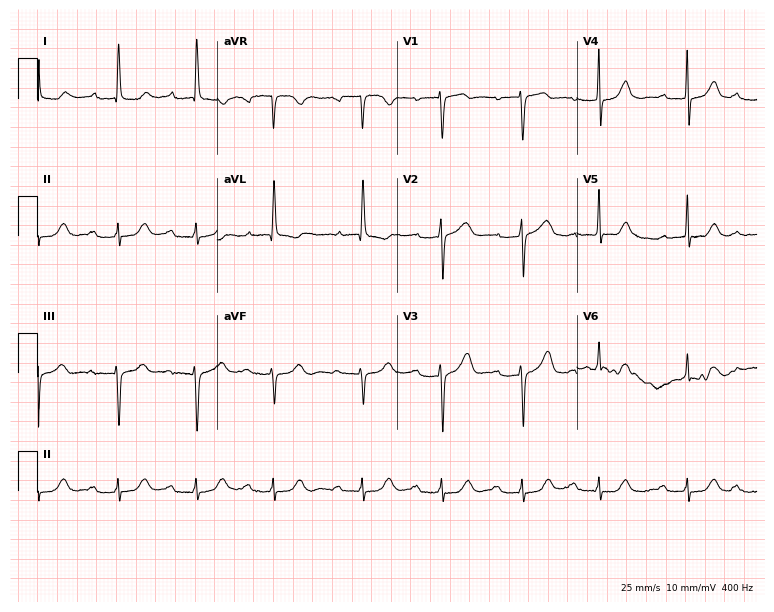
12-lead ECG from an 85-year-old female patient. Shows first-degree AV block.